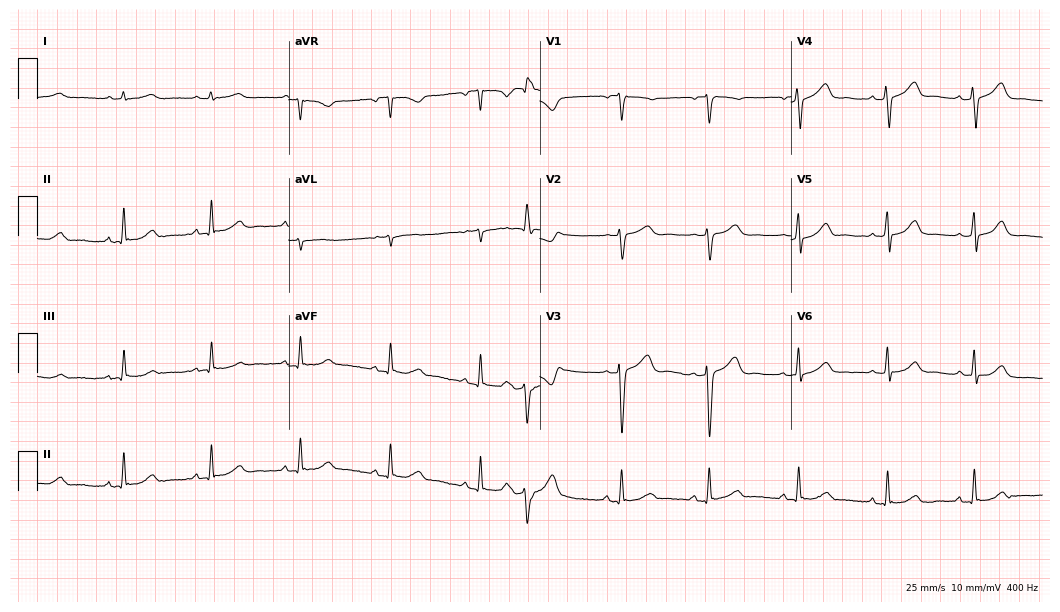
ECG — a 47-year-old female patient. Labelled as a normal ECG.